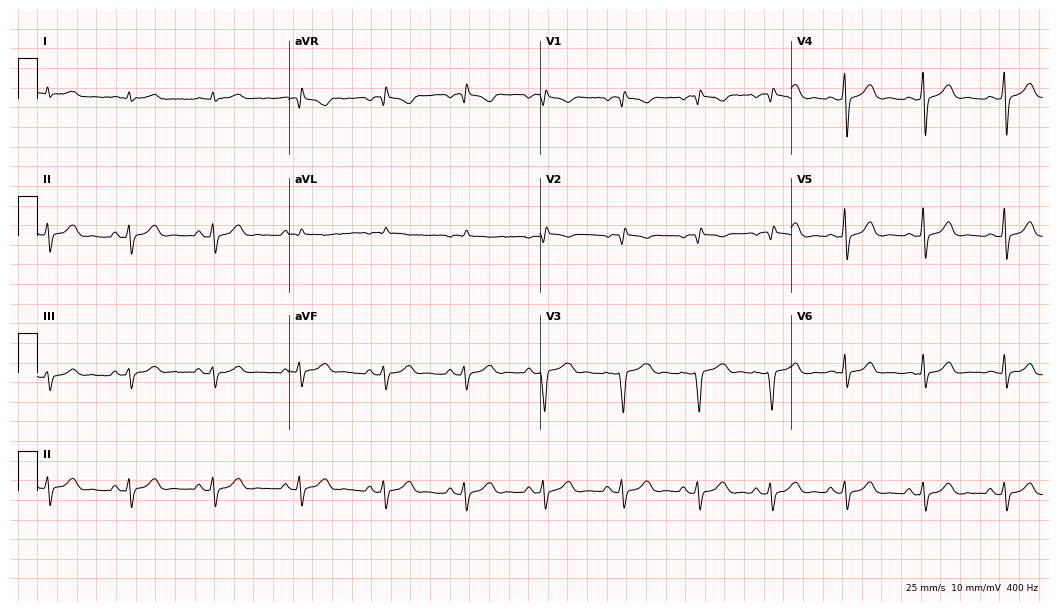
Electrocardiogram, a female, 33 years old. Of the six screened findings (first-degree AV block, right bundle branch block (RBBB), left bundle branch block (LBBB), sinus bradycardia, atrial fibrillation (AF), sinus tachycardia), none is recorded. Only these six findings were labelled.